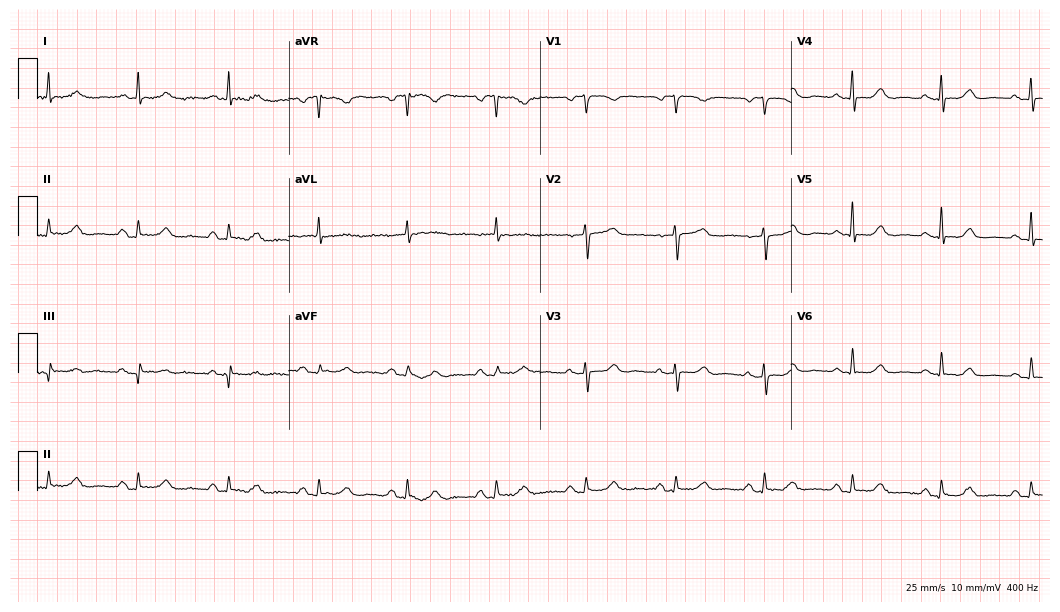
Electrocardiogram, an 80-year-old woman. Of the six screened findings (first-degree AV block, right bundle branch block, left bundle branch block, sinus bradycardia, atrial fibrillation, sinus tachycardia), none is recorded.